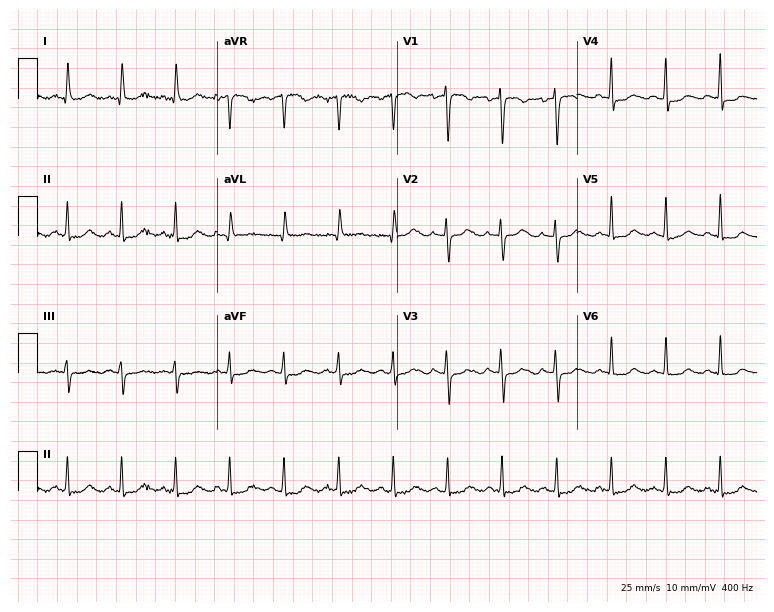
ECG (7.3-second recording at 400 Hz) — a 58-year-old female patient. Findings include sinus tachycardia (a sinus rate of 100 beats per minute or more).